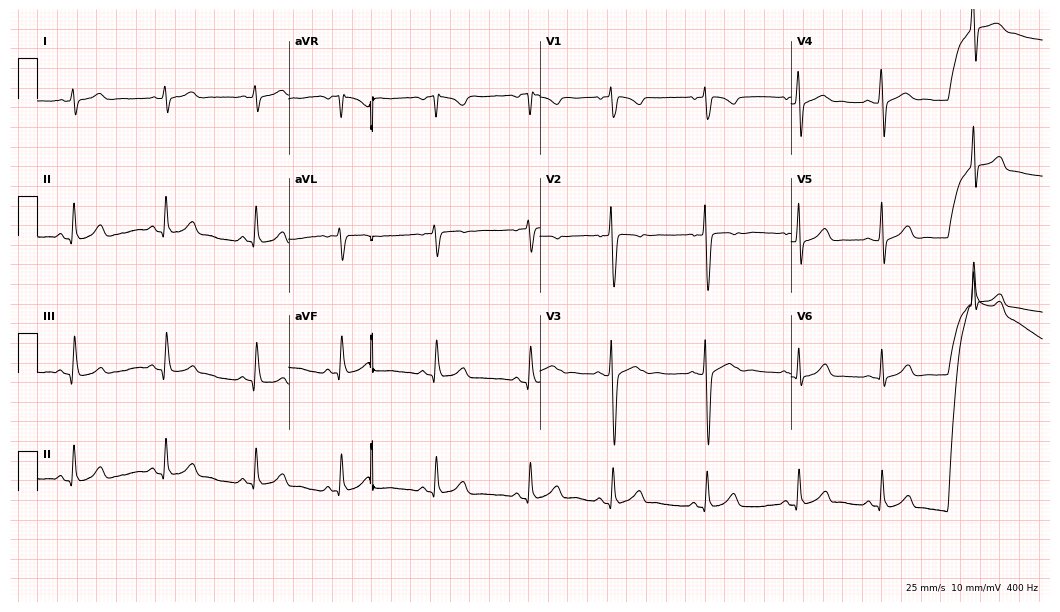
Resting 12-lead electrocardiogram (10.2-second recording at 400 Hz). Patient: a 21-year-old woman. None of these six findings is recorded: first-degree AV block, right bundle branch block, left bundle branch block, sinus bradycardia, atrial fibrillation, sinus tachycardia.